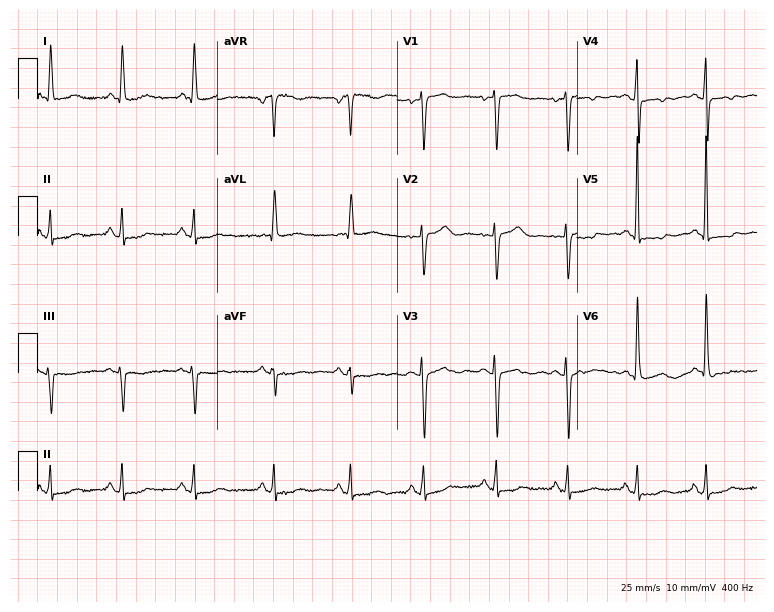
Standard 12-lead ECG recorded from an 82-year-old female (7.3-second recording at 400 Hz). None of these six findings is recorded: first-degree AV block, right bundle branch block, left bundle branch block, sinus bradycardia, atrial fibrillation, sinus tachycardia.